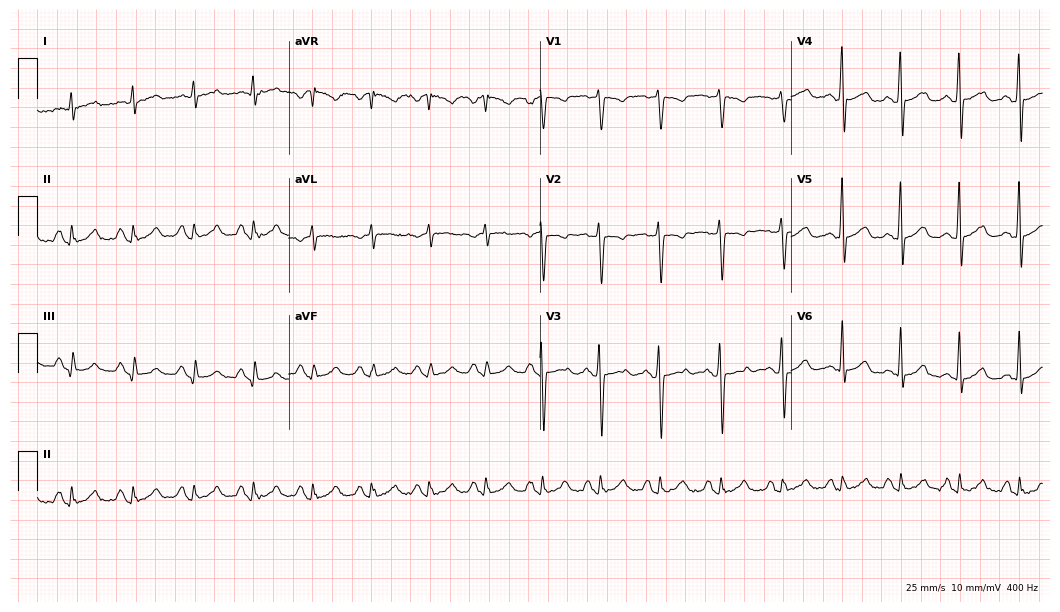
ECG — a man, 55 years old. Labelled as a normal ECG.